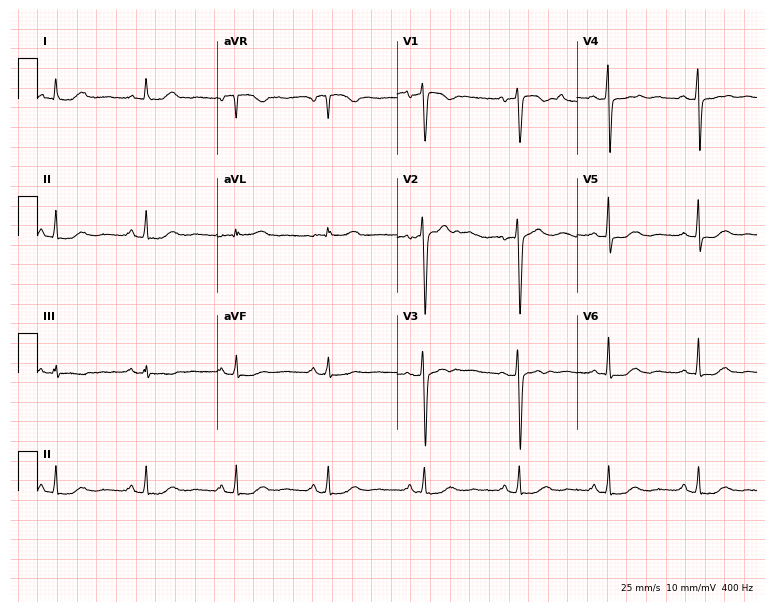
Standard 12-lead ECG recorded from a 51-year-old female (7.3-second recording at 400 Hz). None of these six findings is recorded: first-degree AV block, right bundle branch block, left bundle branch block, sinus bradycardia, atrial fibrillation, sinus tachycardia.